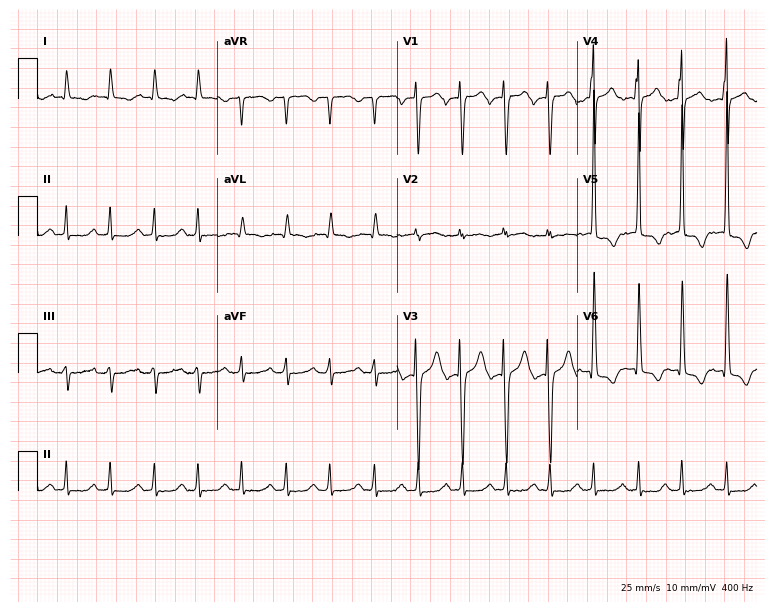
Resting 12-lead electrocardiogram (7.3-second recording at 400 Hz). Patient: a male, 83 years old. None of these six findings is recorded: first-degree AV block, right bundle branch block, left bundle branch block, sinus bradycardia, atrial fibrillation, sinus tachycardia. Only these six findings were labelled.